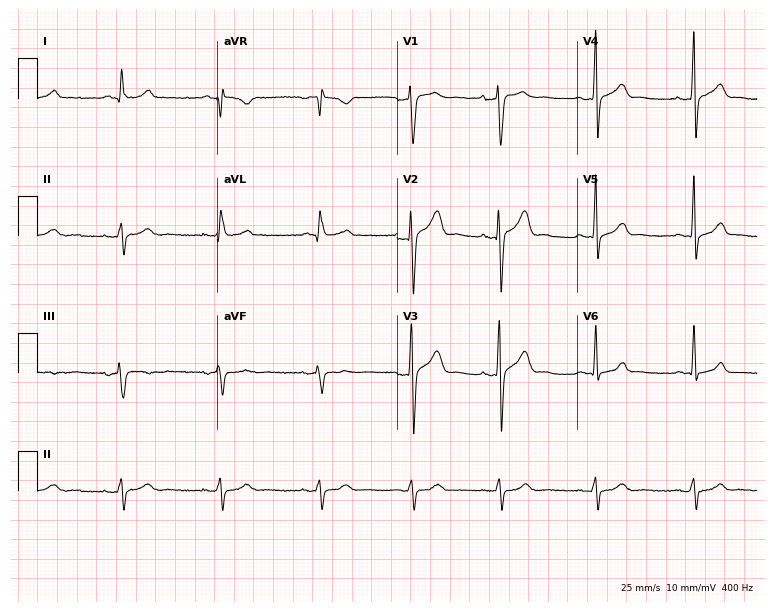
ECG (7.3-second recording at 400 Hz) — a 26-year-old male patient. Screened for six findings — first-degree AV block, right bundle branch block, left bundle branch block, sinus bradycardia, atrial fibrillation, sinus tachycardia — none is recorded.